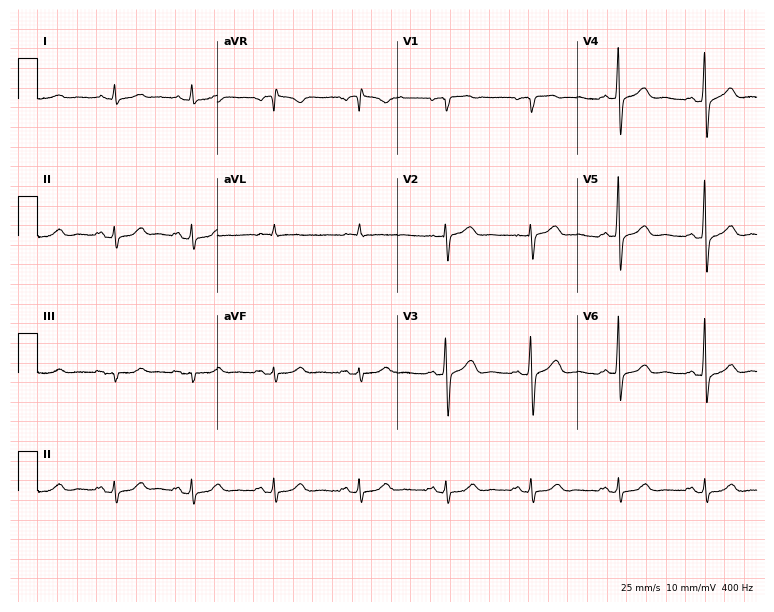
Resting 12-lead electrocardiogram (7.3-second recording at 400 Hz). Patient: a 60-year-old male. None of these six findings is recorded: first-degree AV block, right bundle branch block, left bundle branch block, sinus bradycardia, atrial fibrillation, sinus tachycardia. Other findings, if any, are not listed.